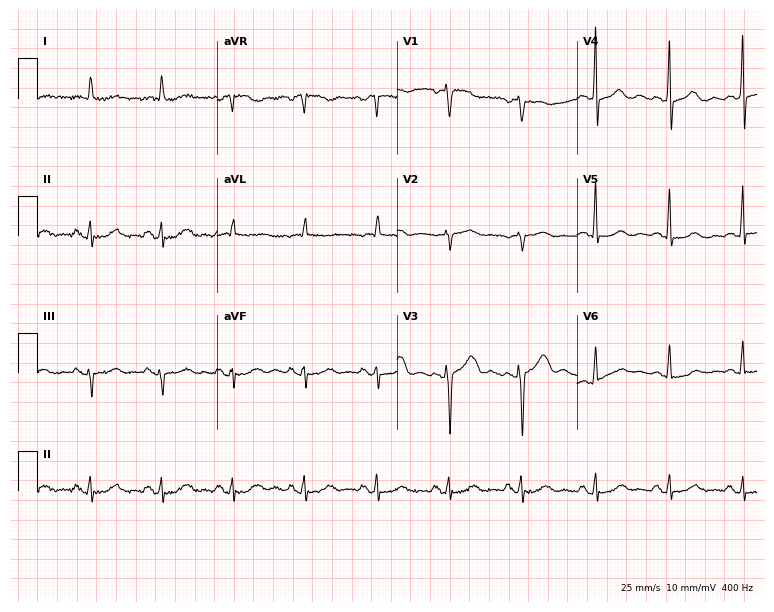
ECG — a 74-year-old female. Screened for six findings — first-degree AV block, right bundle branch block, left bundle branch block, sinus bradycardia, atrial fibrillation, sinus tachycardia — none is recorded. Other findings, if any, are not listed.